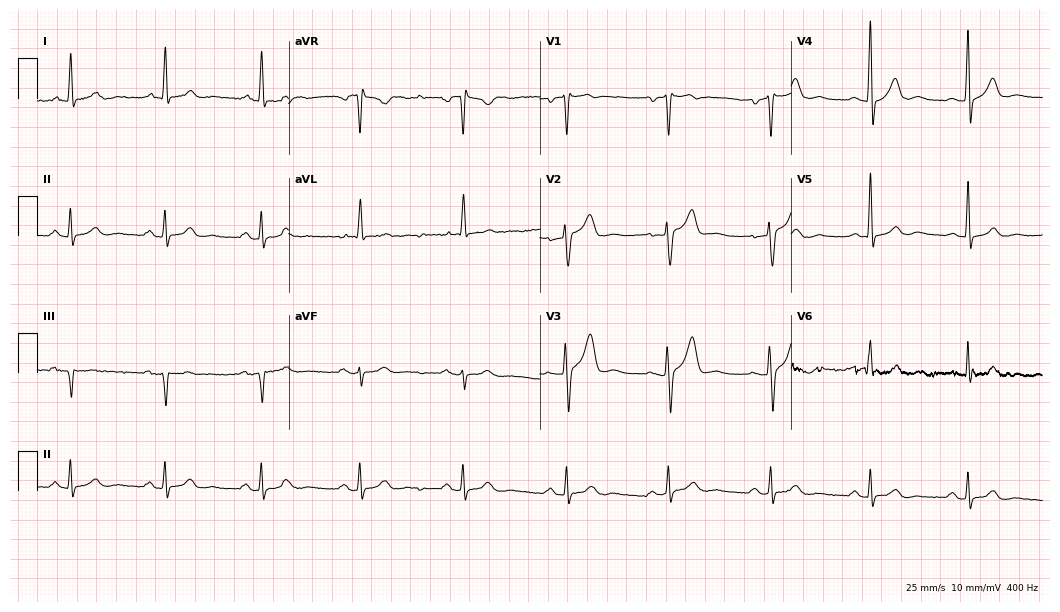
12-lead ECG from a 49-year-old male (10.2-second recording at 400 Hz). Recorded interpretation: within normal limits.